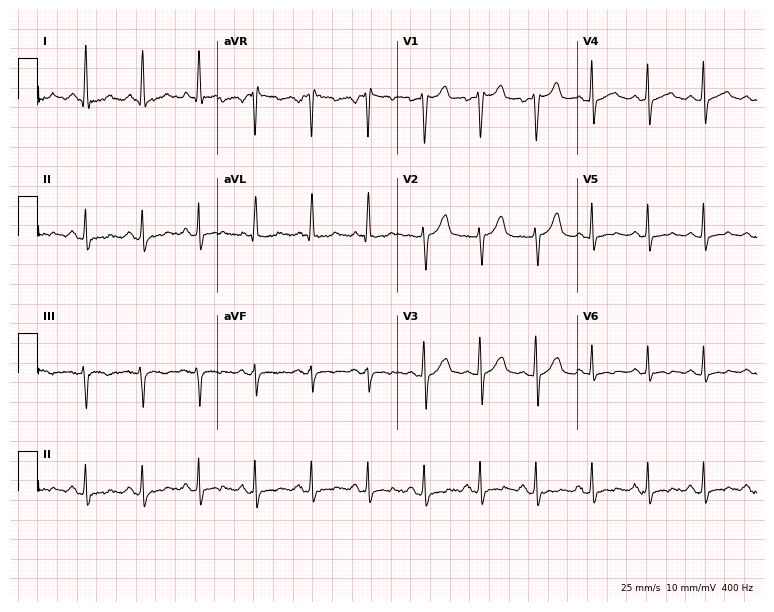
12-lead ECG from a male patient, 26 years old (7.3-second recording at 400 Hz). Shows sinus tachycardia (a sinus rate of 100 beats per minute or more).